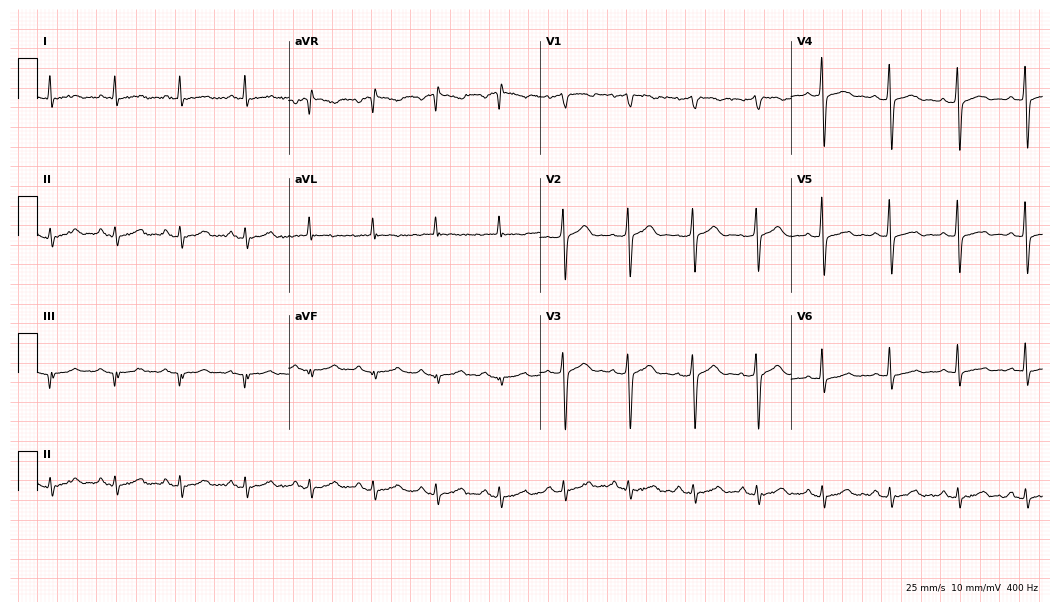
Electrocardiogram (10.2-second recording at 400 Hz), a male patient, 90 years old or older. Overall reading on record: normal ECG.